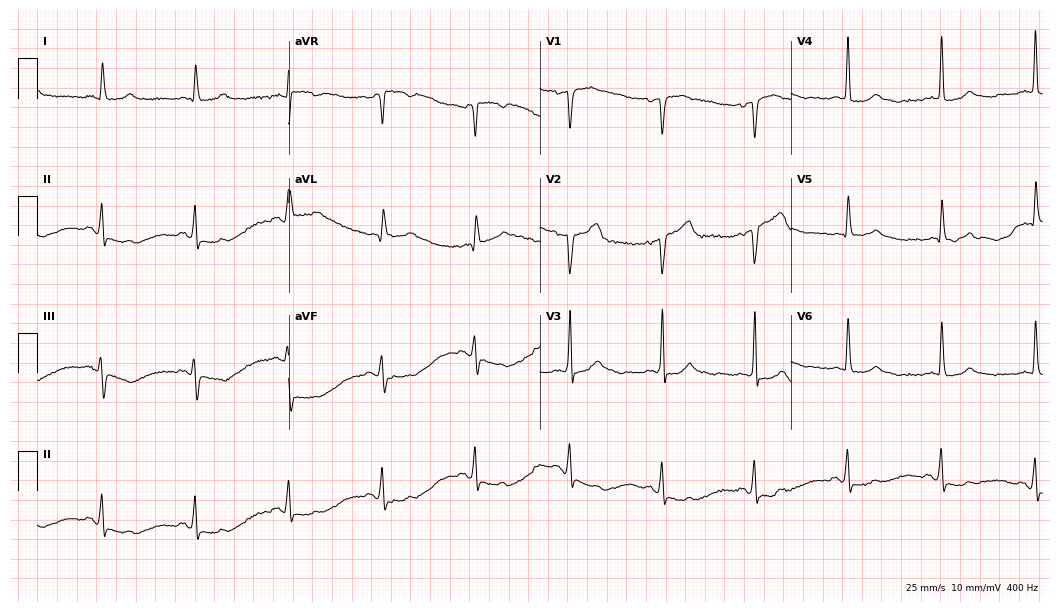
12-lead ECG from a 77-year-old woman. Screened for six findings — first-degree AV block, right bundle branch block, left bundle branch block, sinus bradycardia, atrial fibrillation, sinus tachycardia — none is recorded. Other findings, if any, are not listed.